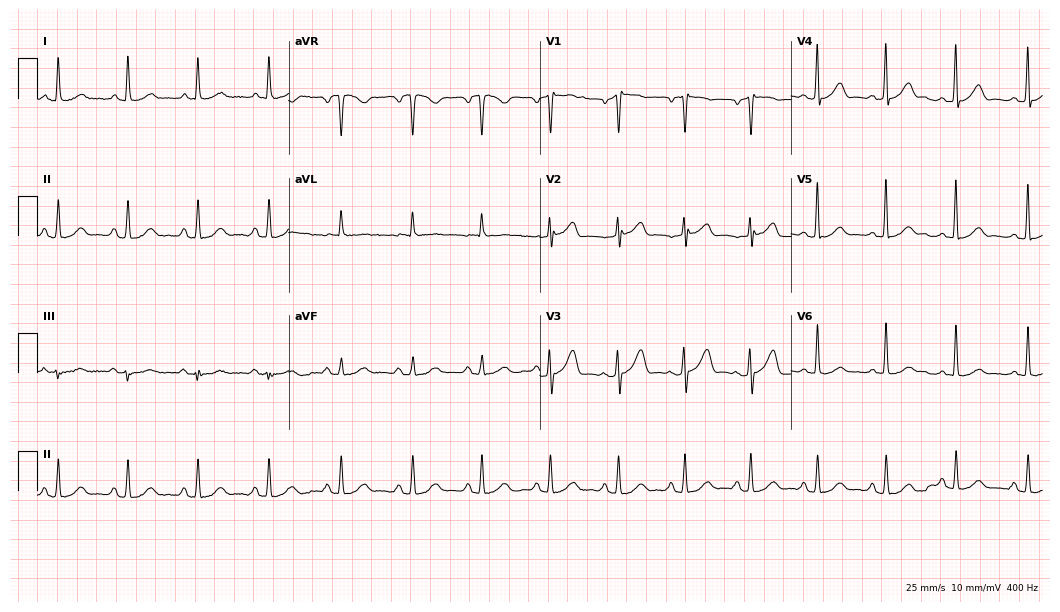
Electrocardiogram (10.2-second recording at 400 Hz), a 55-year-old woman. Of the six screened findings (first-degree AV block, right bundle branch block, left bundle branch block, sinus bradycardia, atrial fibrillation, sinus tachycardia), none is recorded.